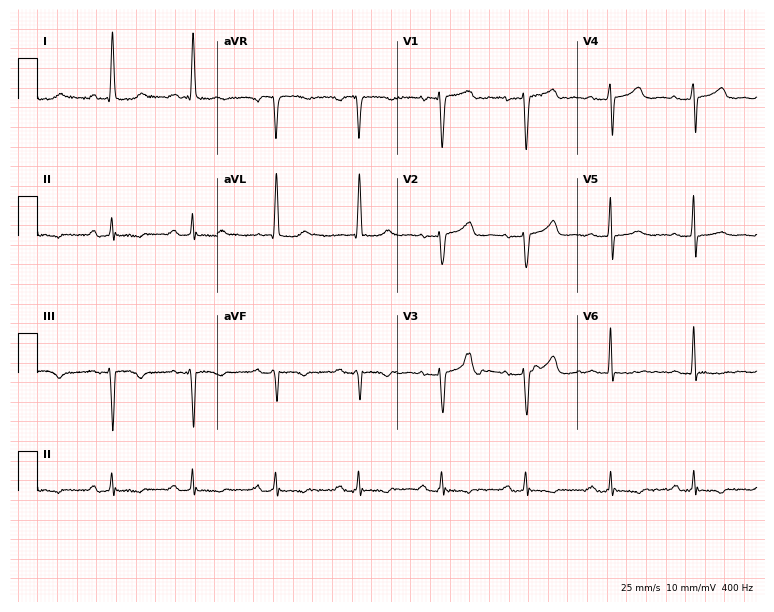
Standard 12-lead ECG recorded from a female patient, 60 years old (7.3-second recording at 400 Hz). None of these six findings is recorded: first-degree AV block, right bundle branch block (RBBB), left bundle branch block (LBBB), sinus bradycardia, atrial fibrillation (AF), sinus tachycardia. Other findings, if any, are not listed.